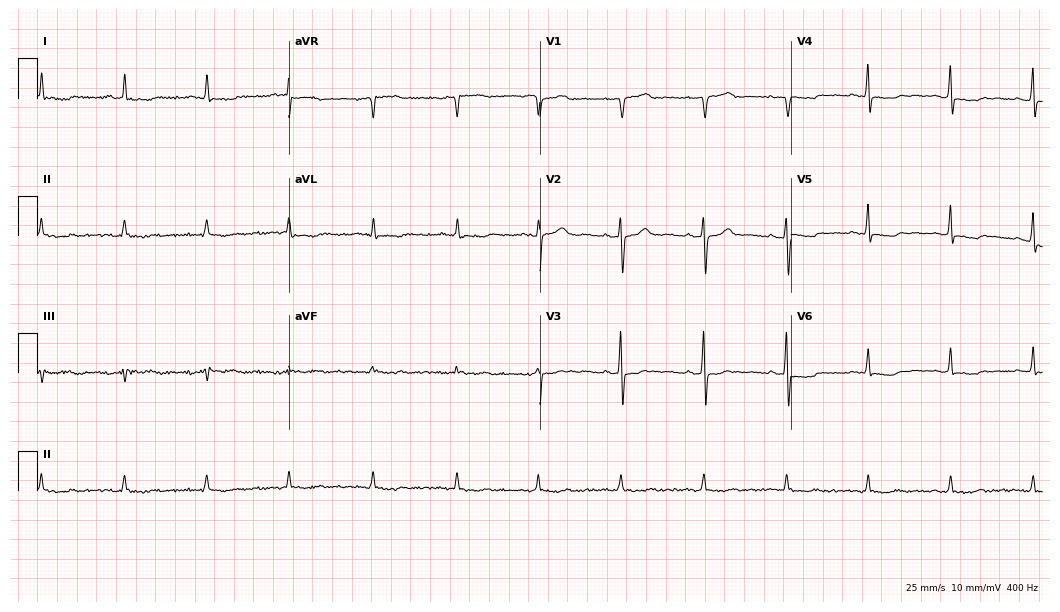
ECG (10.2-second recording at 400 Hz) — a woman, 78 years old. Screened for six findings — first-degree AV block, right bundle branch block, left bundle branch block, sinus bradycardia, atrial fibrillation, sinus tachycardia — none is recorded.